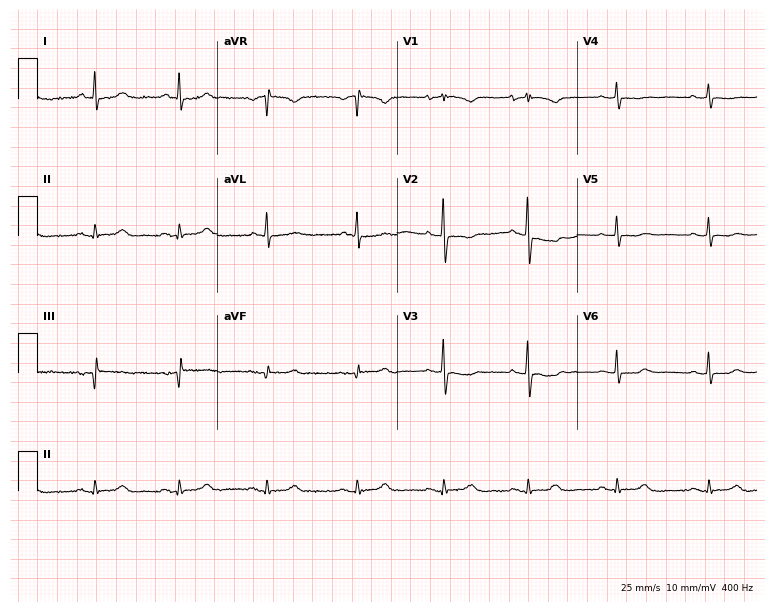
Resting 12-lead electrocardiogram. Patient: a female, 59 years old. None of these six findings is recorded: first-degree AV block, right bundle branch block, left bundle branch block, sinus bradycardia, atrial fibrillation, sinus tachycardia. Only these six findings were labelled.